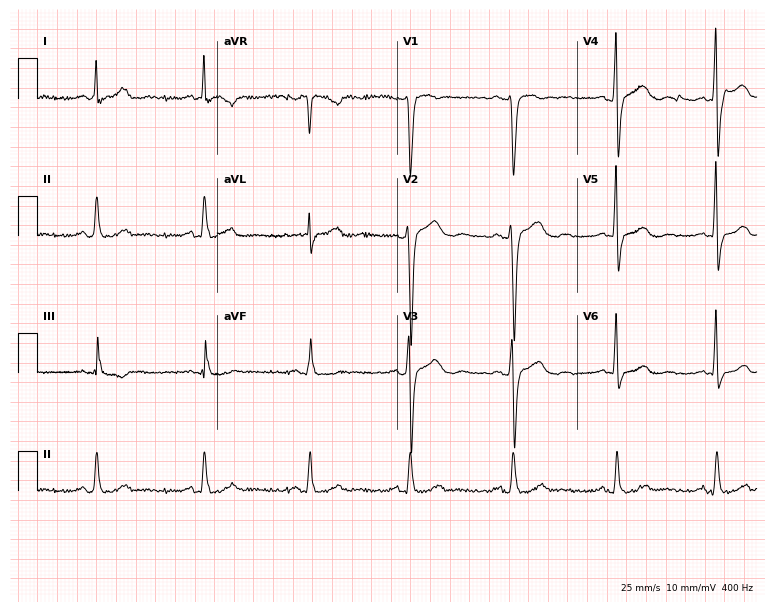
ECG (7.3-second recording at 400 Hz) — a 46-year-old man. Screened for six findings — first-degree AV block, right bundle branch block, left bundle branch block, sinus bradycardia, atrial fibrillation, sinus tachycardia — none is recorded.